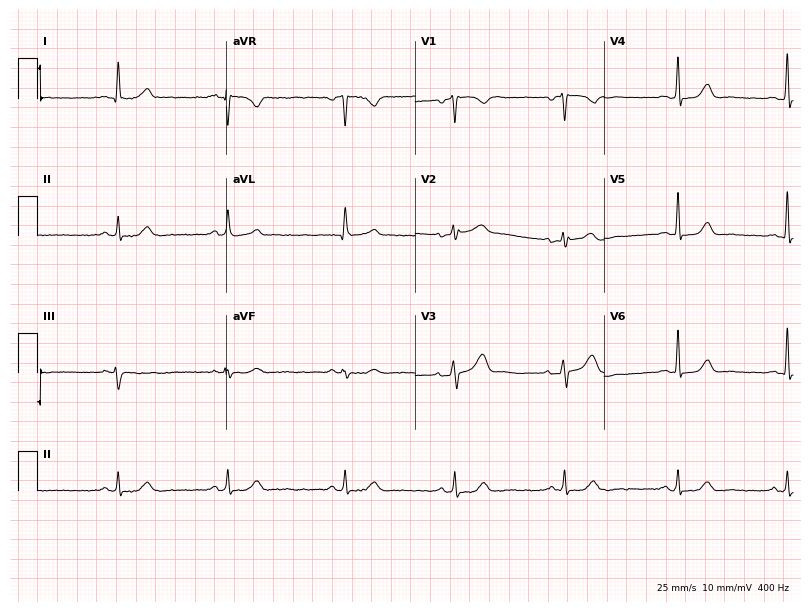
12-lead ECG (7.7-second recording at 400 Hz) from a female patient, 53 years old. Labelled as a normal ECG.